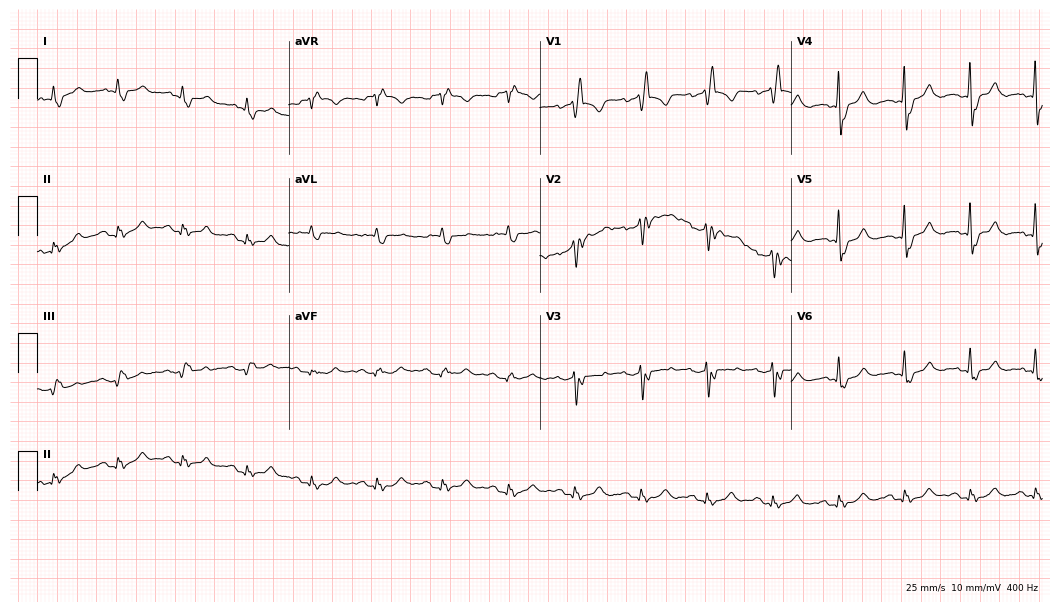
Resting 12-lead electrocardiogram (10.2-second recording at 400 Hz). Patient: a male, 79 years old. The tracing shows right bundle branch block.